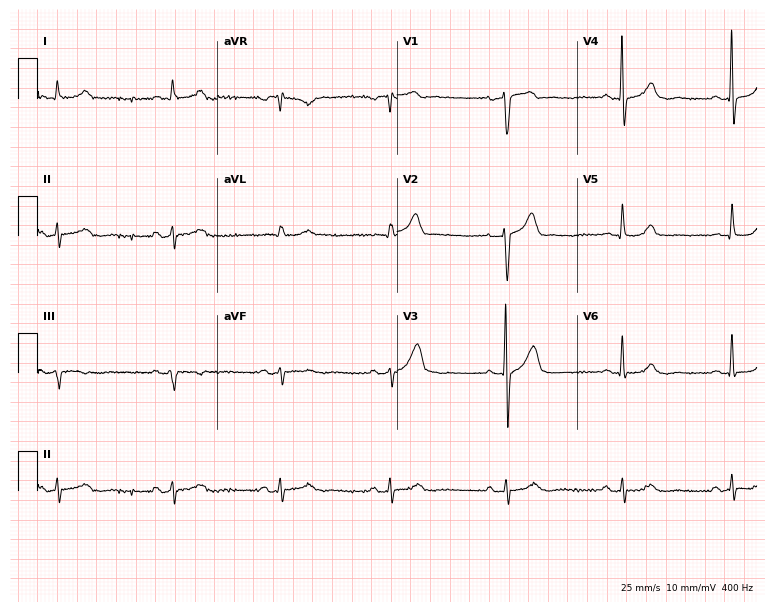
12-lead ECG (7.3-second recording at 400 Hz) from a 73-year-old male. Labelled as a normal ECG.